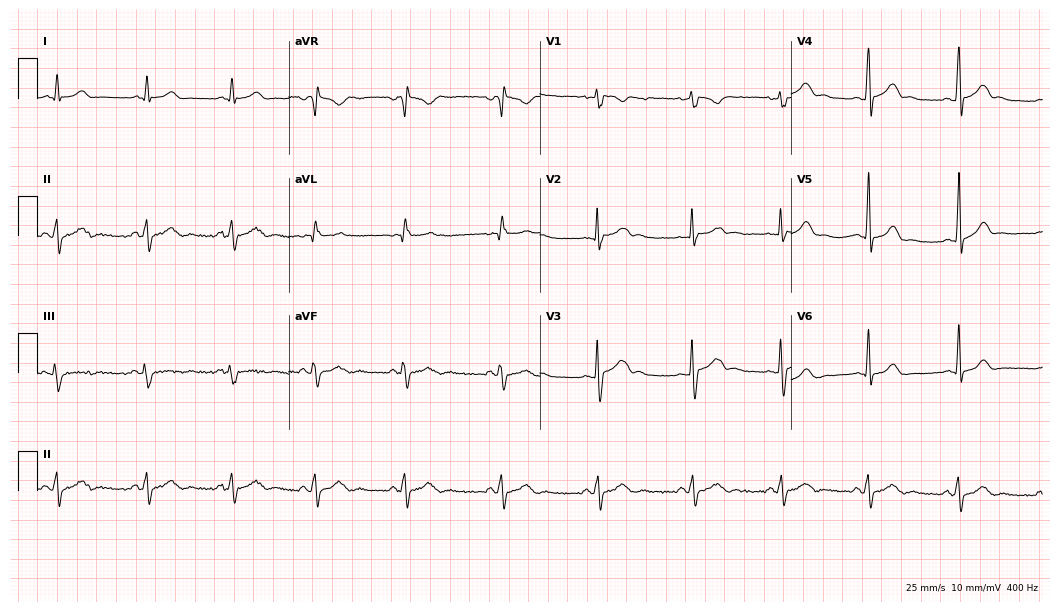
ECG (10.2-second recording at 400 Hz) — a 25-year-old male patient. Labelled as a normal ECG.